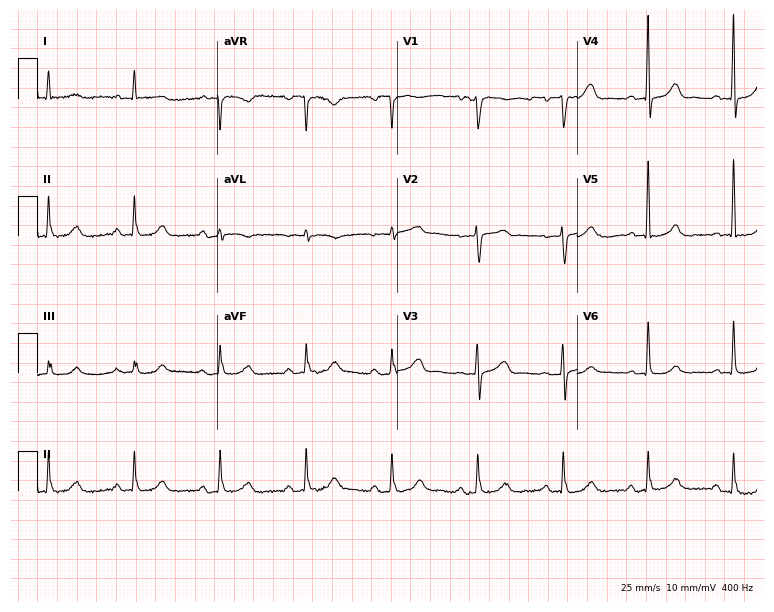
Resting 12-lead electrocardiogram. Patient: a female, 84 years old. Read as a normal ECG.